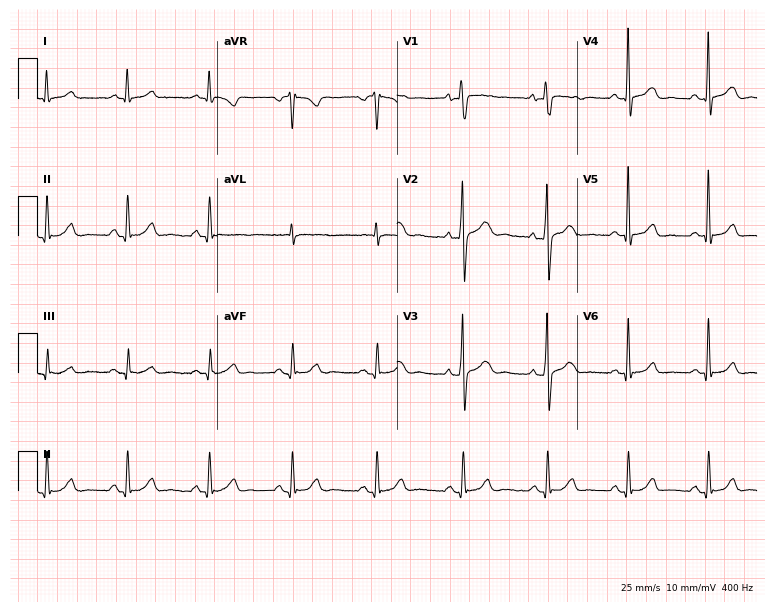
ECG (7.3-second recording at 400 Hz) — a 42-year-old male. Screened for six findings — first-degree AV block, right bundle branch block, left bundle branch block, sinus bradycardia, atrial fibrillation, sinus tachycardia — none is recorded. Only these six findings were labelled.